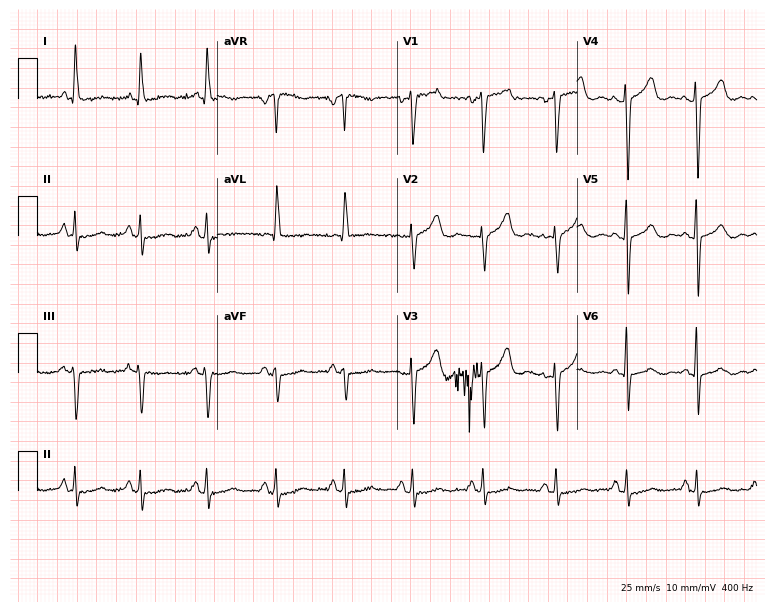
Electrocardiogram, a 45-year-old female. Of the six screened findings (first-degree AV block, right bundle branch block, left bundle branch block, sinus bradycardia, atrial fibrillation, sinus tachycardia), none is recorded.